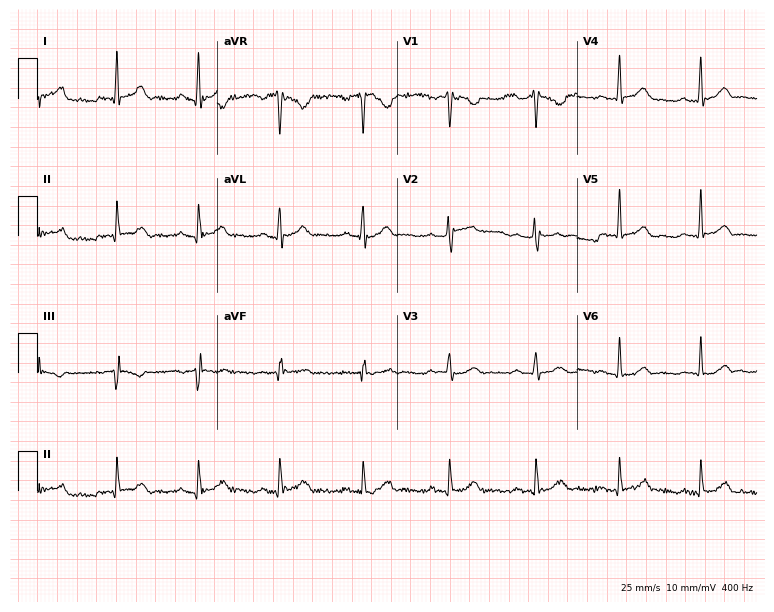
Resting 12-lead electrocardiogram (7.3-second recording at 400 Hz). Patient: a 45-year-old male. Read as a normal ECG.